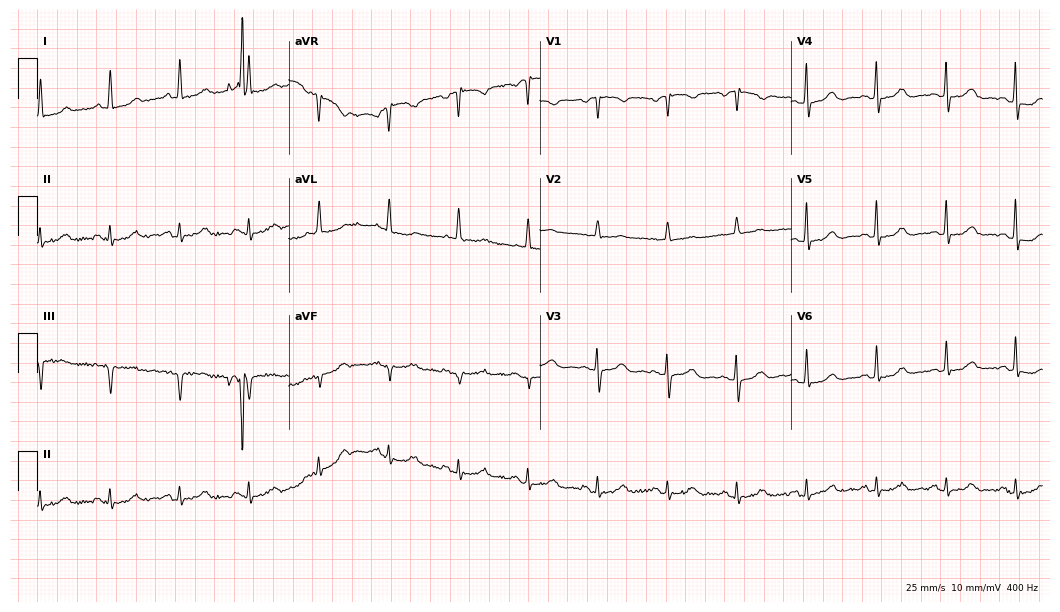
Electrocardiogram (10.2-second recording at 400 Hz), an 83-year-old female. Of the six screened findings (first-degree AV block, right bundle branch block (RBBB), left bundle branch block (LBBB), sinus bradycardia, atrial fibrillation (AF), sinus tachycardia), none is recorded.